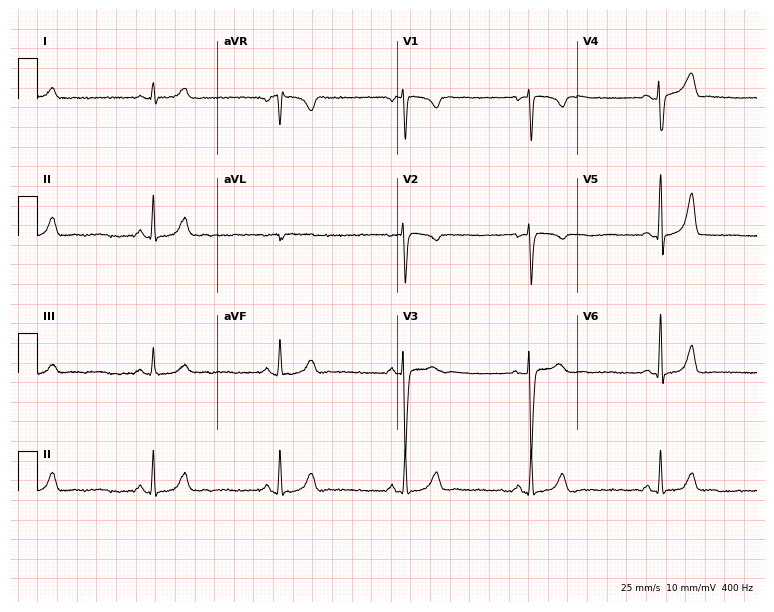
12-lead ECG (7.3-second recording at 400 Hz) from a female patient, 34 years old. Findings include sinus bradycardia (a sinus rate of 50 beats per minute or less).